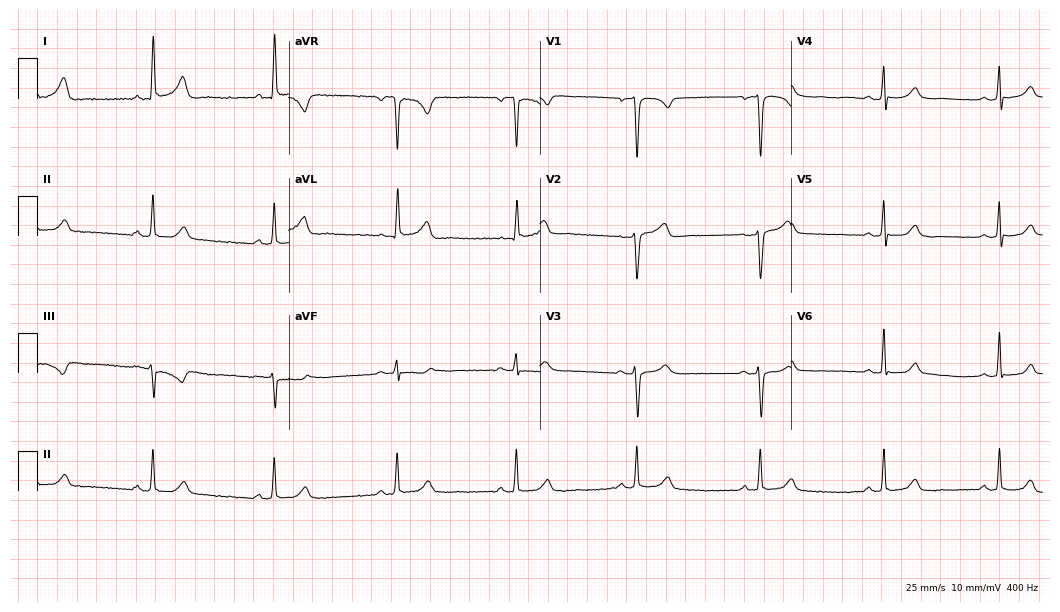
12-lead ECG from a 51-year-old female patient. Shows sinus bradycardia (a sinus rate of 50 beats per minute or less).